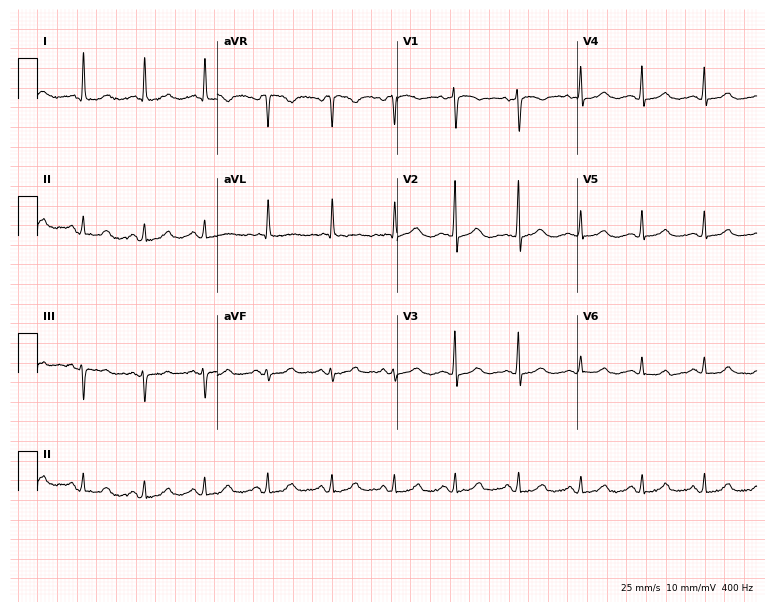
12-lead ECG (7.3-second recording at 400 Hz) from a 66-year-old female. Labelled as a normal ECG.